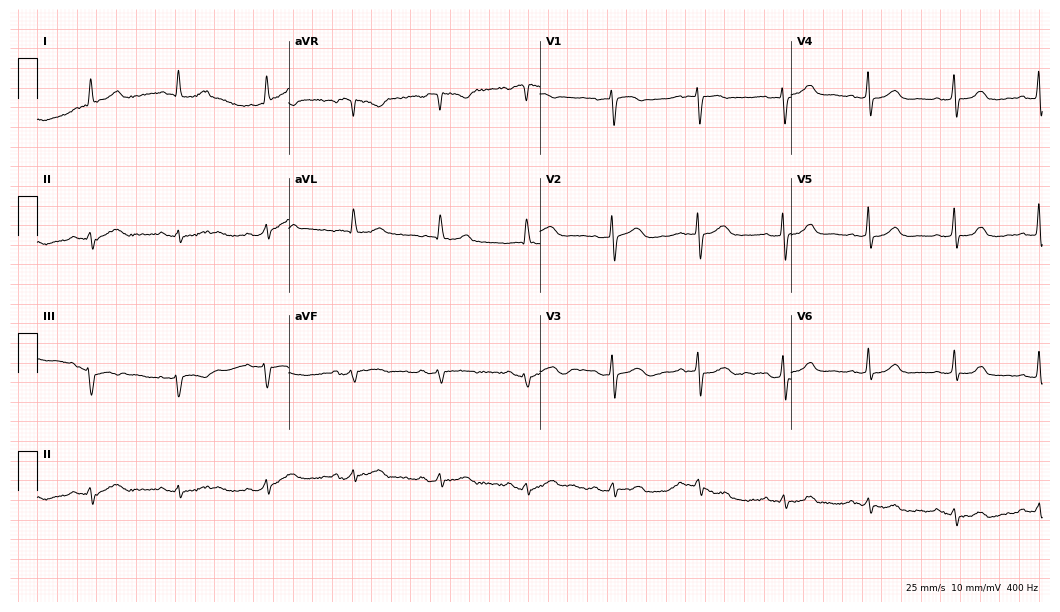
Resting 12-lead electrocardiogram (10.2-second recording at 400 Hz). Patient: an 88-year-old female. Read as a normal ECG.